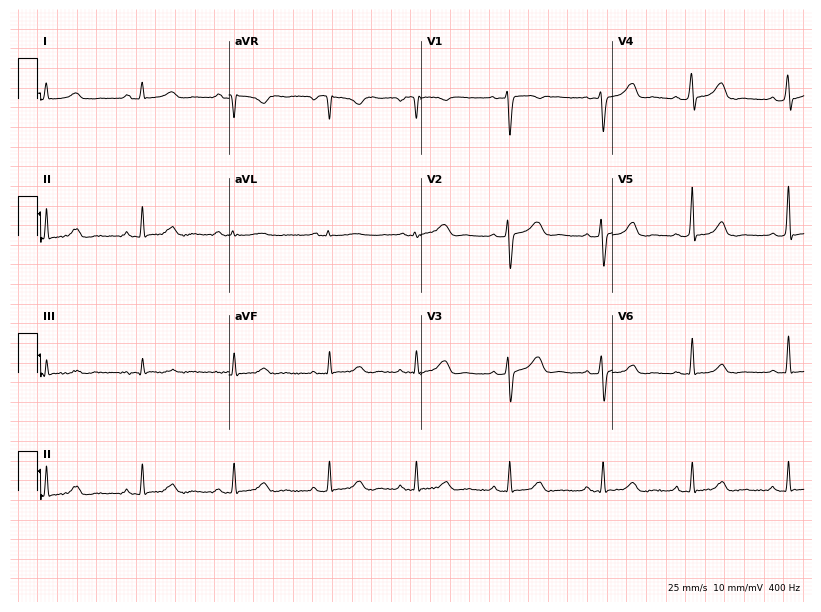
ECG — a 42-year-old female. Labelled as a normal ECG.